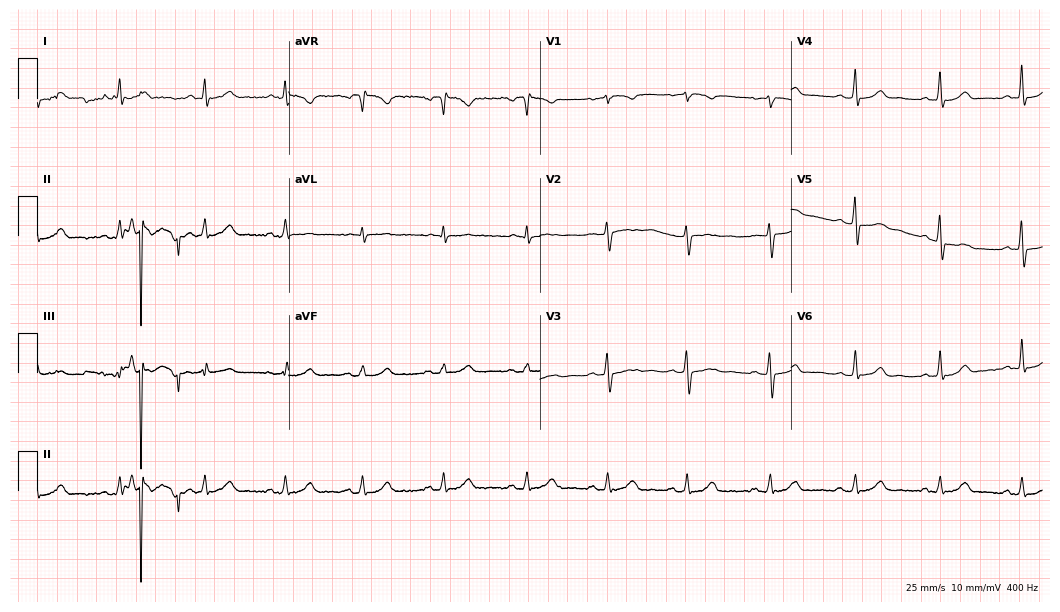
Resting 12-lead electrocardiogram. Patient: a 47-year-old woman. None of these six findings is recorded: first-degree AV block, right bundle branch block (RBBB), left bundle branch block (LBBB), sinus bradycardia, atrial fibrillation (AF), sinus tachycardia.